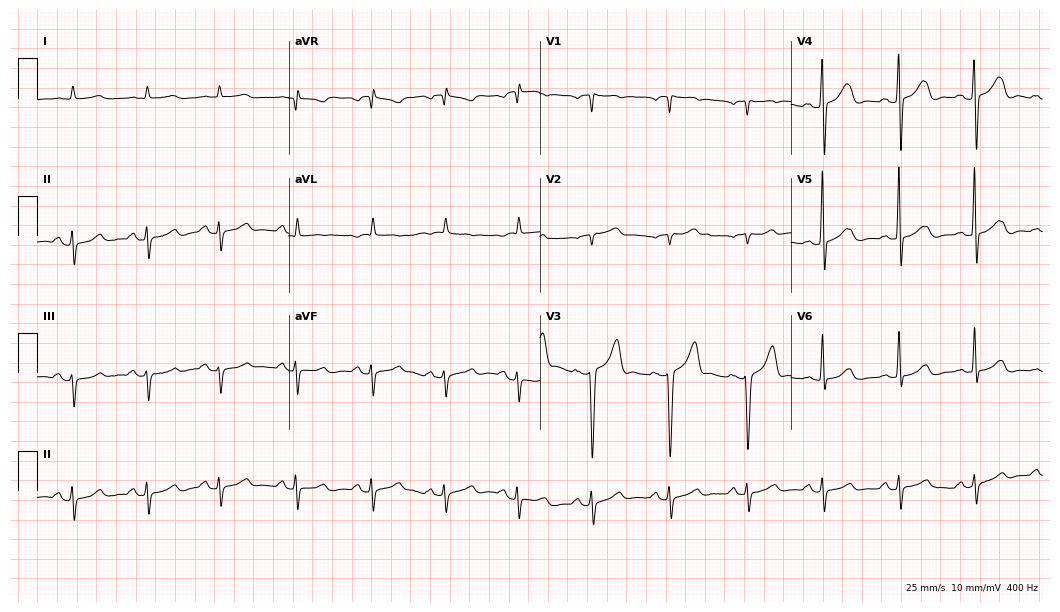
Electrocardiogram (10.2-second recording at 400 Hz), a man, 85 years old. Of the six screened findings (first-degree AV block, right bundle branch block, left bundle branch block, sinus bradycardia, atrial fibrillation, sinus tachycardia), none is recorded.